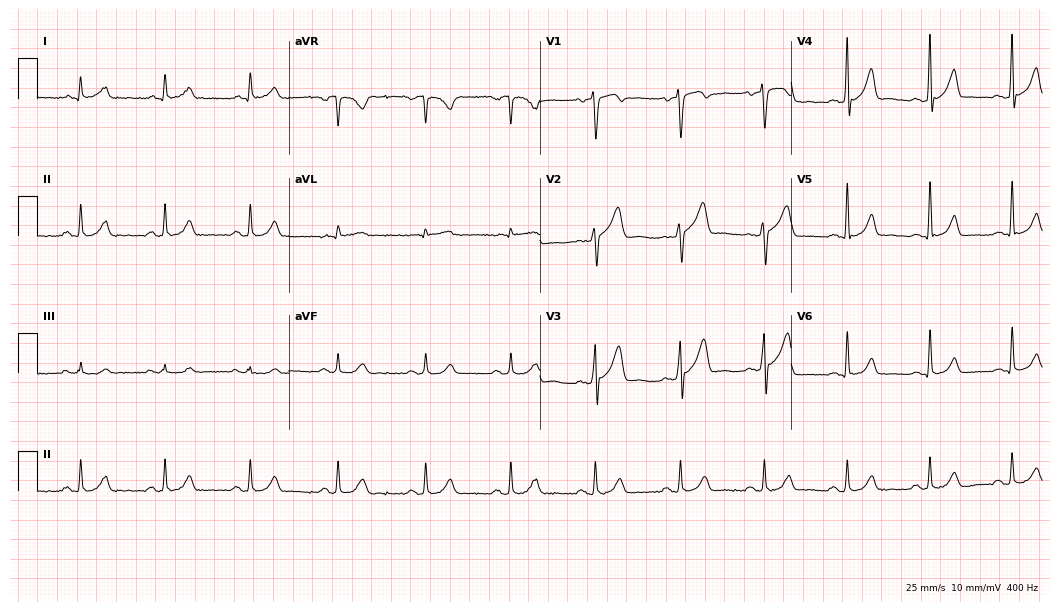
12-lead ECG from a male, 37 years old. Labelled as a normal ECG.